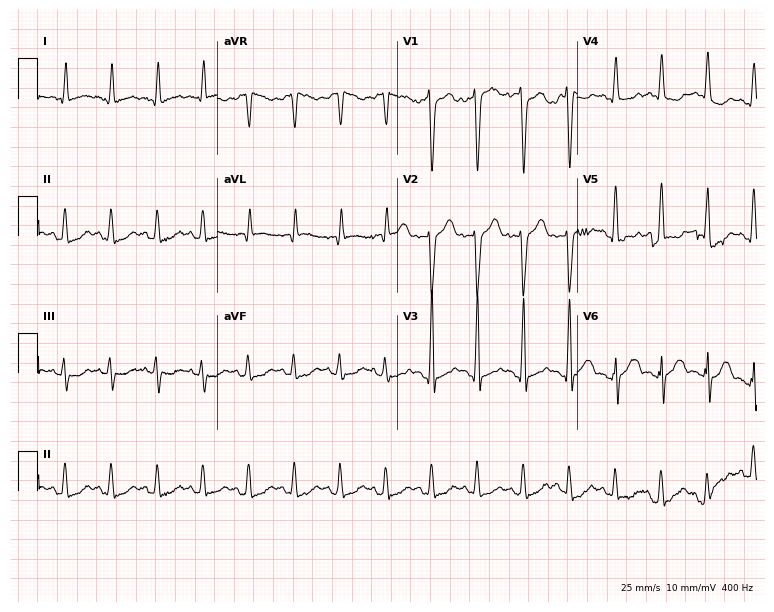
Standard 12-lead ECG recorded from a woman, 80 years old (7.3-second recording at 400 Hz). The tracing shows sinus tachycardia (a sinus rate of 100 beats per minute or more).